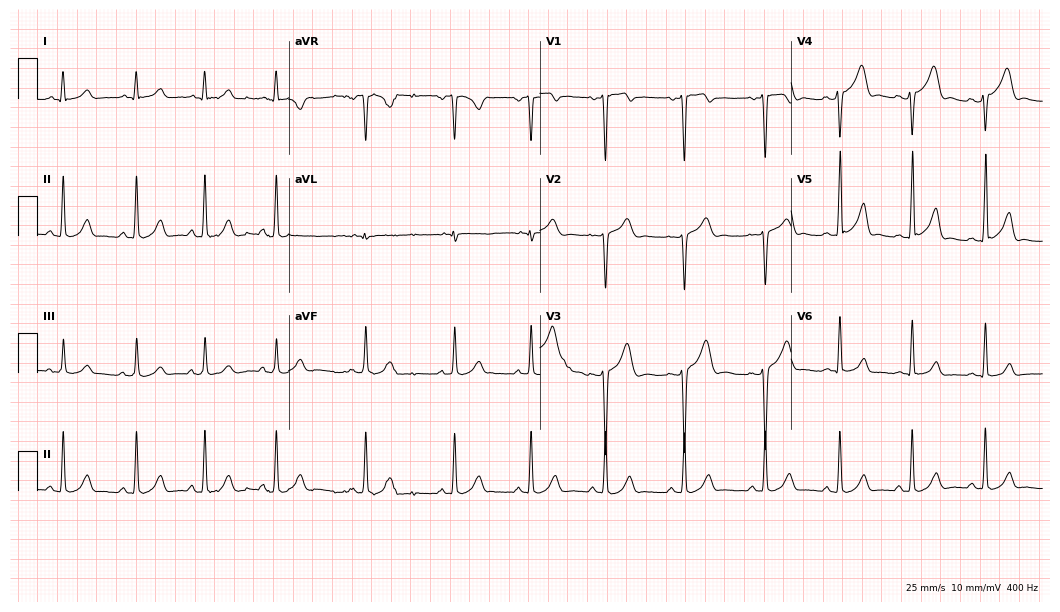
Resting 12-lead electrocardiogram (10.2-second recording at 400 Hz). Patient: a 17-year-old male. None of these six findings is recorded: first-degree AV block, right bundle branch block (RBBB), left bundle branch block (LBBB), sinus bradycardia, atrial fibrillation (AF), sinus tachycardia.